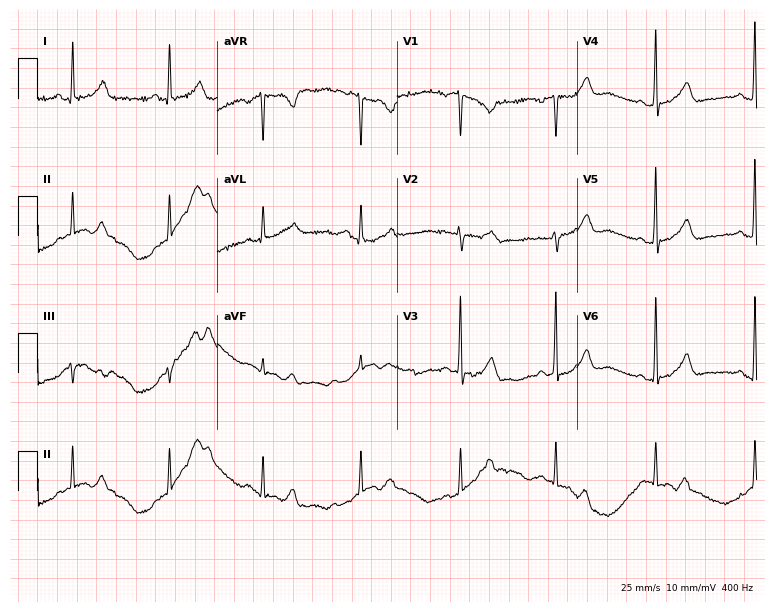
12-lead ECG from a woman, 37 years old. No first-degree AV block, right bundle branch block, left bundle branch block, sinus bradycardia, atrial fibrillation or sinus tachycardia recorded for this tracing.